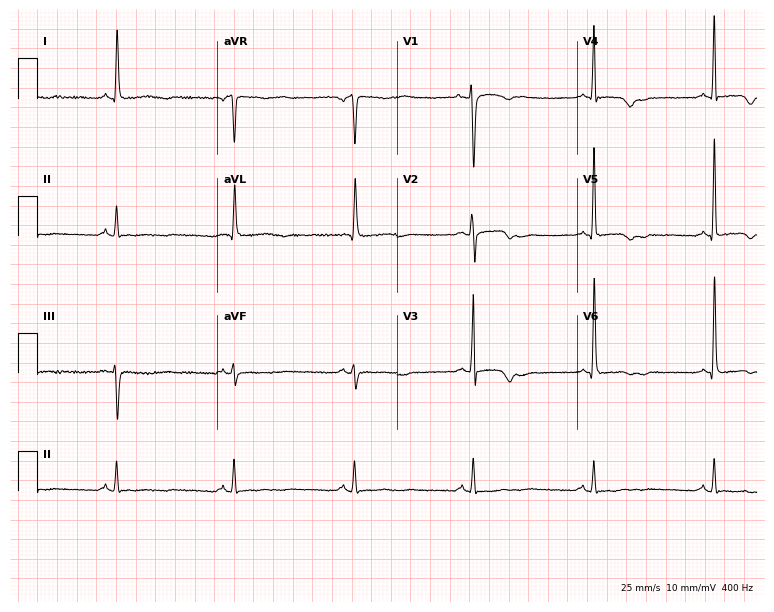
Standard 12-lead ECG recorded from an 83-year-old female patient (7.3-second recording at 400 Hz). The tracing shows right bundle branch block (RBBB), sinus bradycardia (a sinus rate of 50 beats per minute or less).